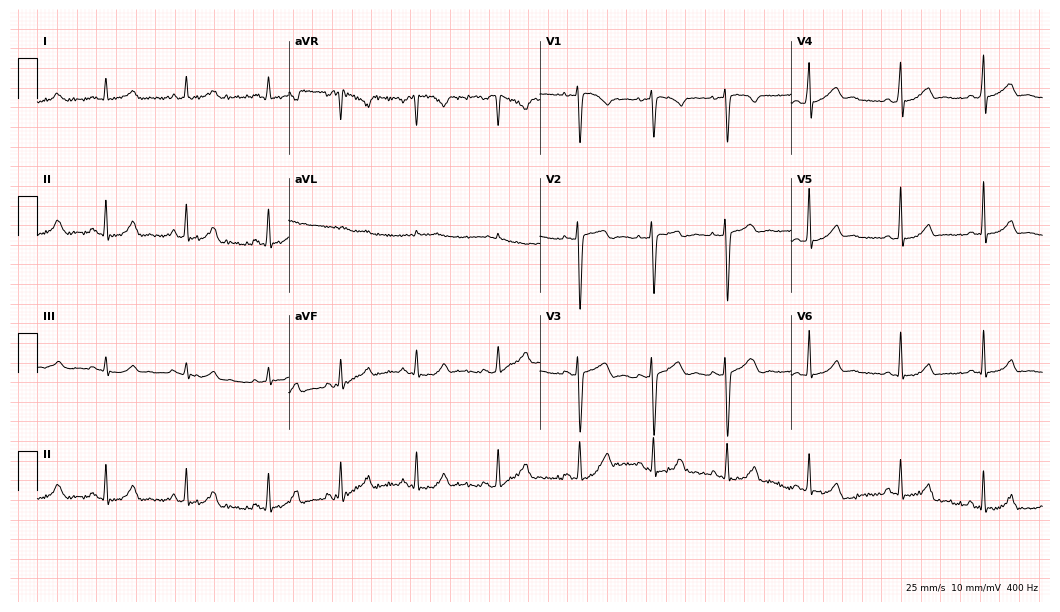
Standard 12-lead ECG recorded from a female patient, 29 years old (10.2-second recording at 400 Hz). Read as a normal ECG.